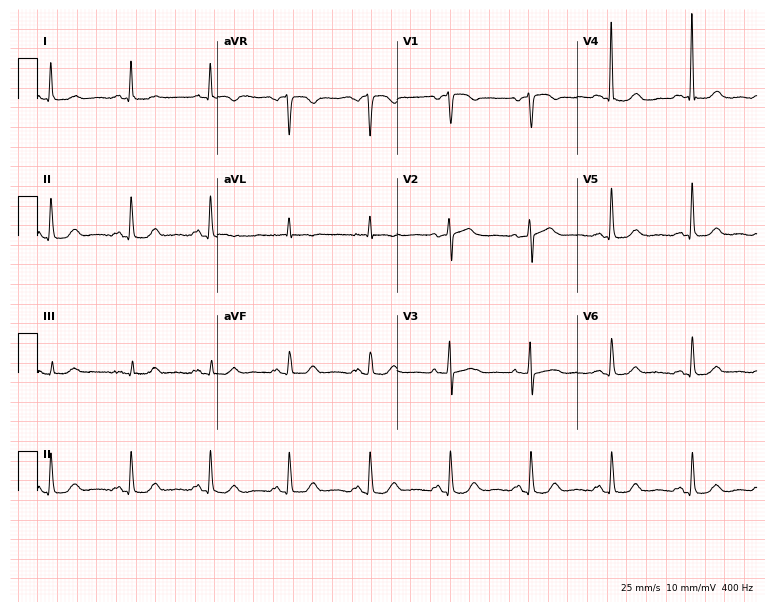
12-lead ECG from a 79-year-old female patient. Recorded interpretation: within normal limits.